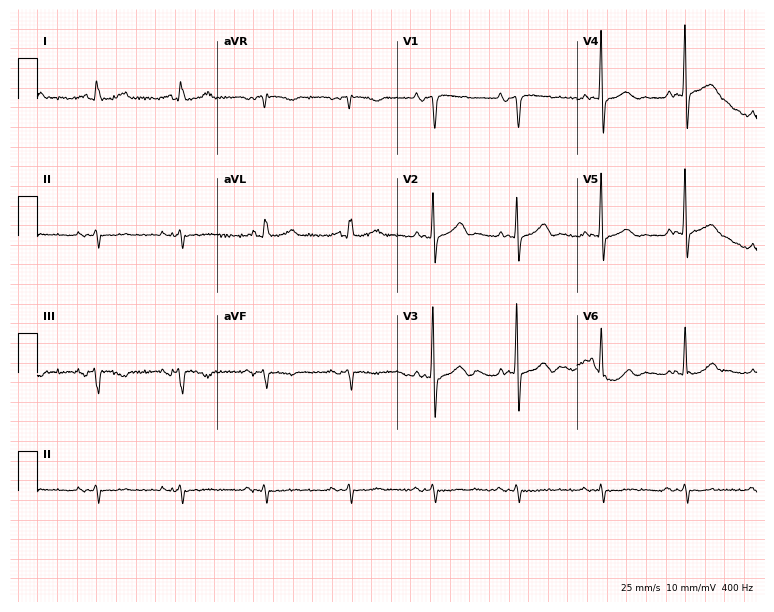
Electrocardiogram, a male patient, 79 years old. Of the six screened findings (first-degree AV block, right bundle branch block, left bundle branch block, sinus bradycardia, atrial fibrillation, sinus tachycardia), none is recorded.